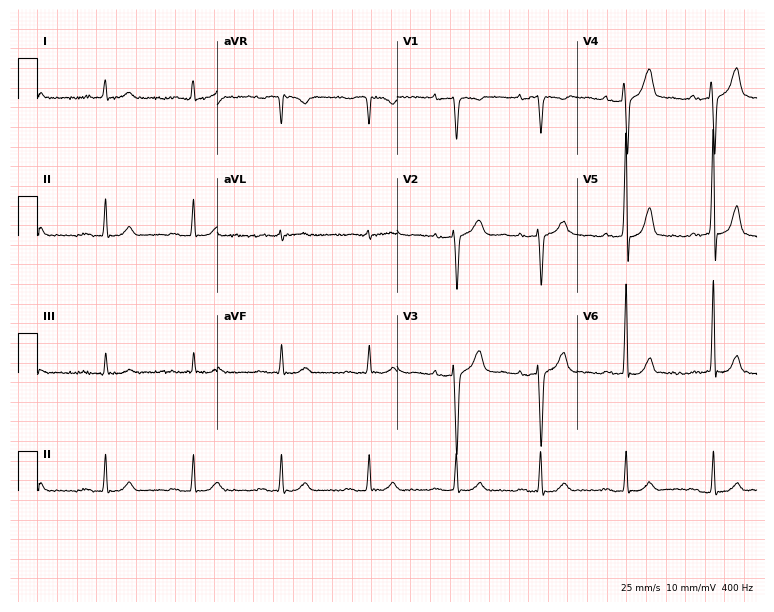
Resting 12-lead electrocardiogram (7.3-second recording at 400 Hz). Patient: a 74-year-old male. None of these six findings is recorded: first-degree AV block, right bundle branch block, left bundle branch block, sinus bradycardia, atrial fibrillation, sinus tachycardia. Findings outside these six are not listed.